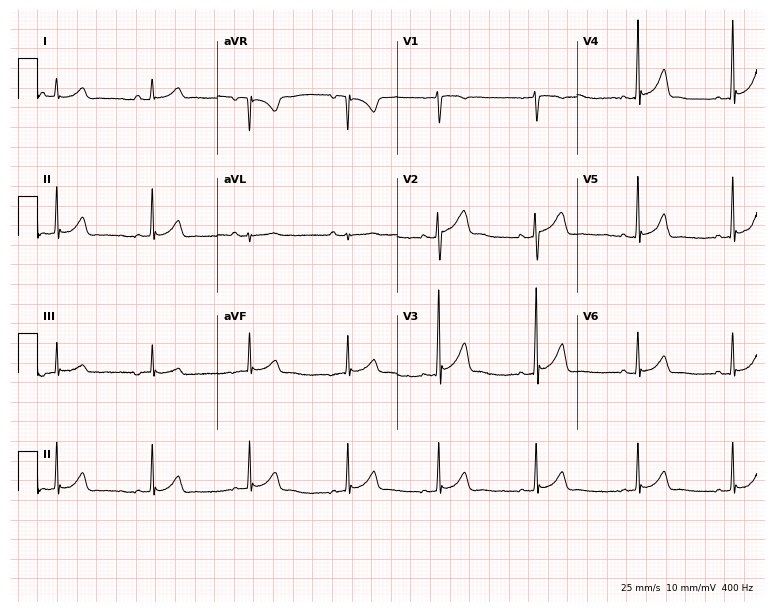
12-lead ECG from a woman, 17 years old (7.3-second recording at 400 Hz). Recorded interpretation: within normal limits.